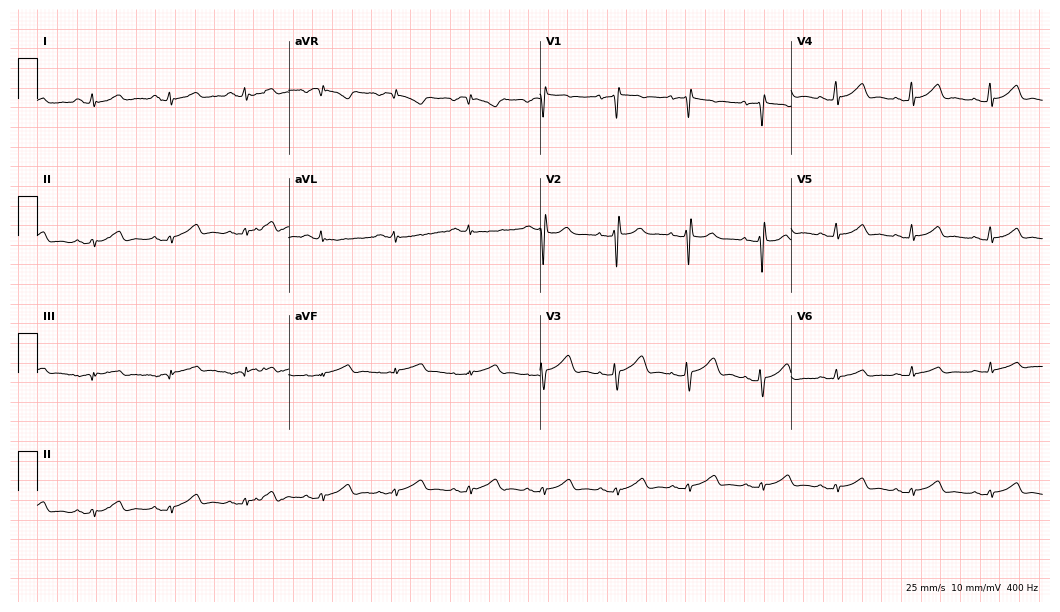
Standard 12-lead ECG recorded from a woman, 36 years old (10.2-second recording at 400 Hz). None of these six findings is recorded: first-degree AV block, right bundle branch block, left bundle branch block, sinus bradycardia, atrial fibrillation, sinus tachycardia. Other findings, if any, are not listed.